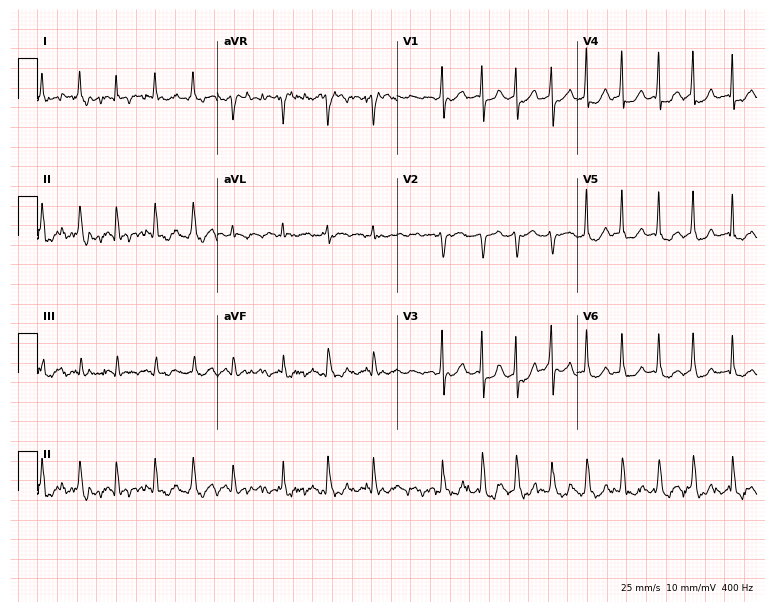
Electrocardiogram, a woman, 61 years old. Interpretation includes atrial fibrillation.